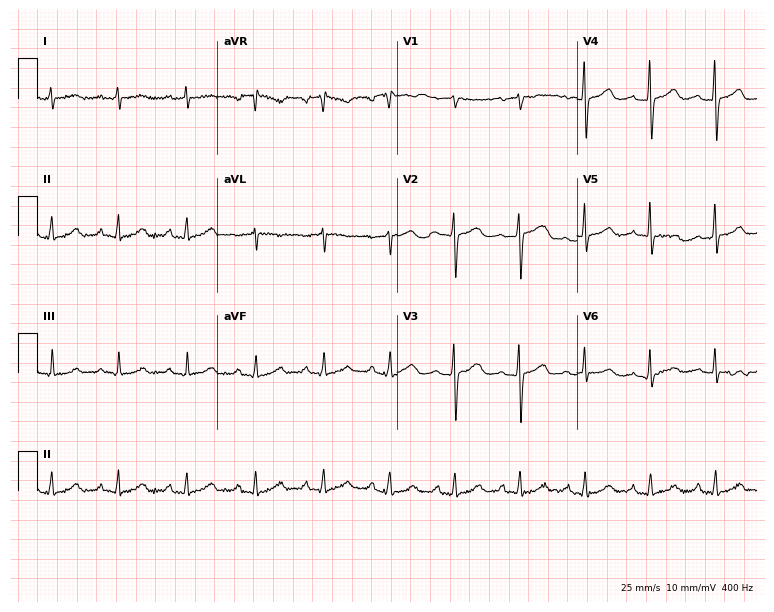
12-lead ECG (7.3-second recording at 400 Hz) from a 52-year-old female. Labelled as a normal ECG.